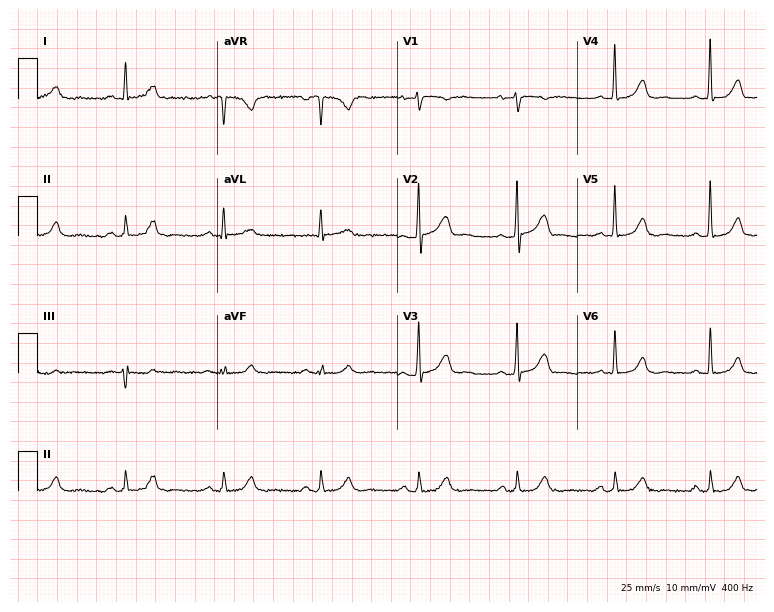
12-lead ECG from a male patient, 68 years old. Recorded interpretation: within normal limits.